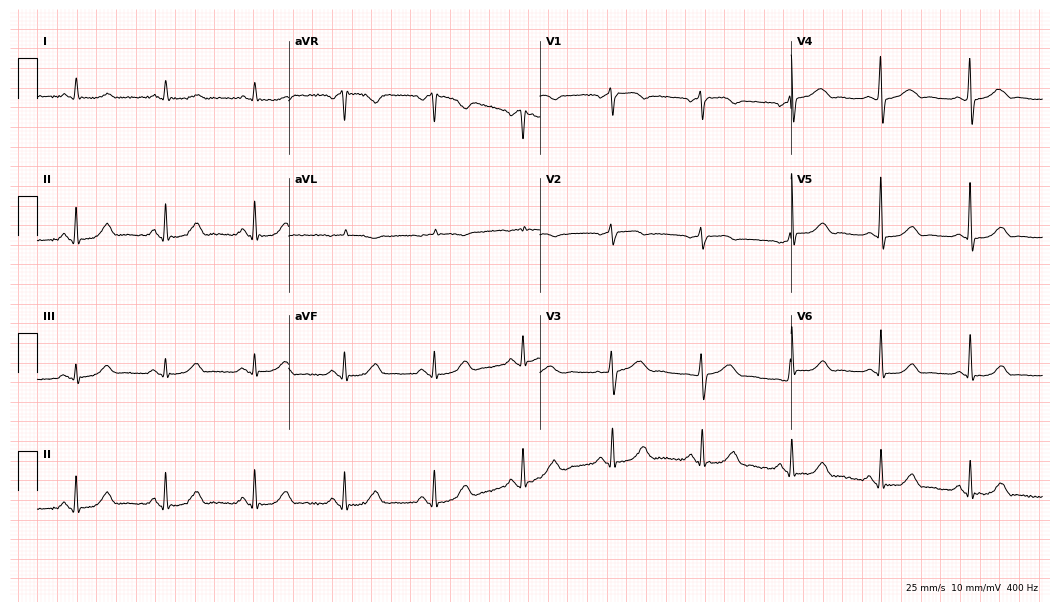
Resting 12-lead electrocardiogram (10.2-second recording at 400 Hz). Patient: a woman, 81 years old. None of these six findings is recorded: first-degree AV block, right bundle branch block, left bundle branch block, sinus bradycardia, atrial fibrillation, sinus tachycardia. Findings outside these six are not listed.